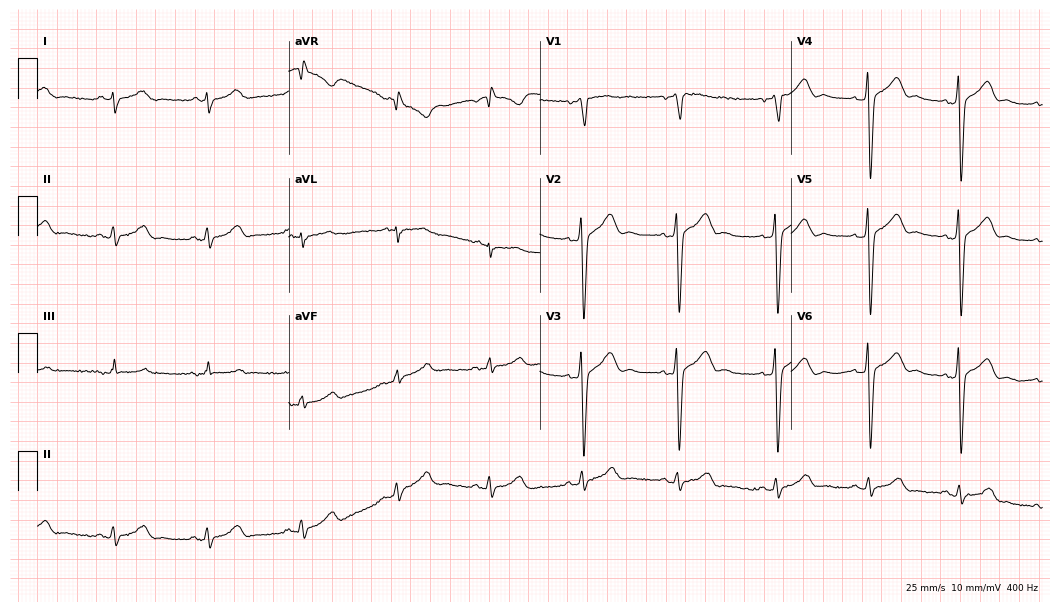
ECG (10.2-second recording at 400 Hz) — a male, 35 years old. Screened for six findings — first-degree AV block, right bundle branch block (RBBB), left bundle branch block (LBBB), sinus bradycardia, atrial fibrillation (AF), sinus tachycardia — none is recorded.